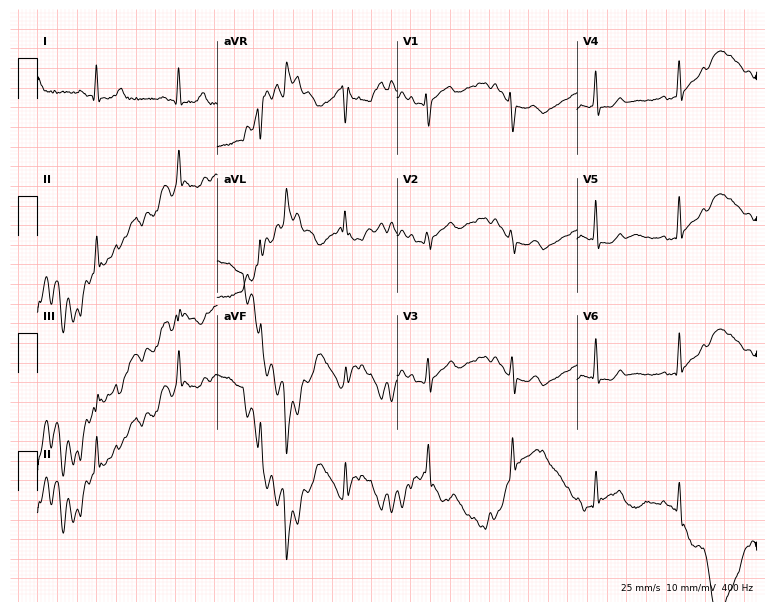
ECG — a female, 48 years old. Screened for six findings — first-degree AV block, right bundle branch block (RBBB), left bundle branch block (LBBB), sinus bradycardia, atrial fibrillation (AF), sinus tachycardia — none is recorded.